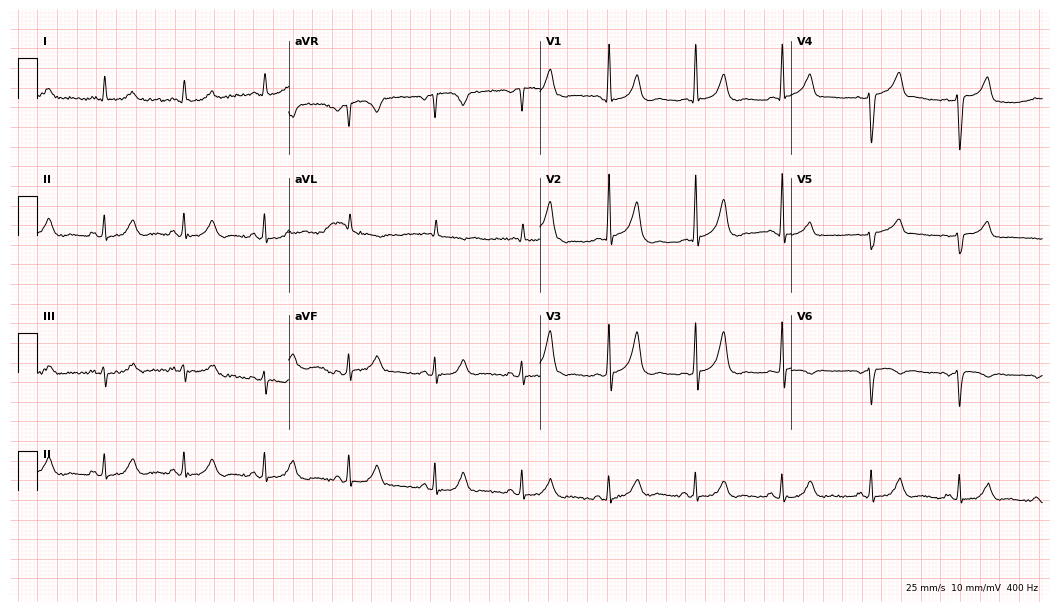
Standard 12-lead ECG recorded from a woman, 28 years old (10.2-second recording at 400 Hz). None of these six findings is recorded: first-degree AV block, right bundle branch block, left bundle branch block, sinus bradycardia, atrial fibrillation, sinus tachycardia. Other findings, if any, are not listed.